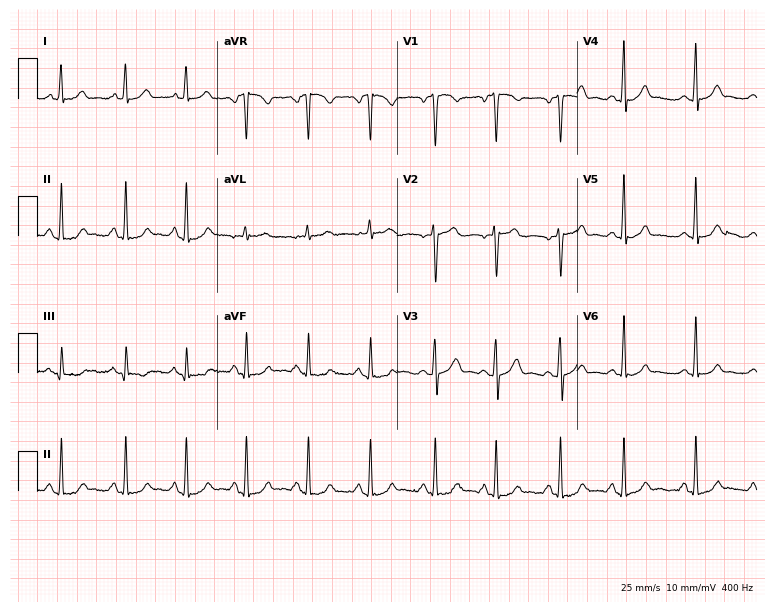
Standard 12-lead ECG recorded from a 27-year-old female. Read as a normal ECG.